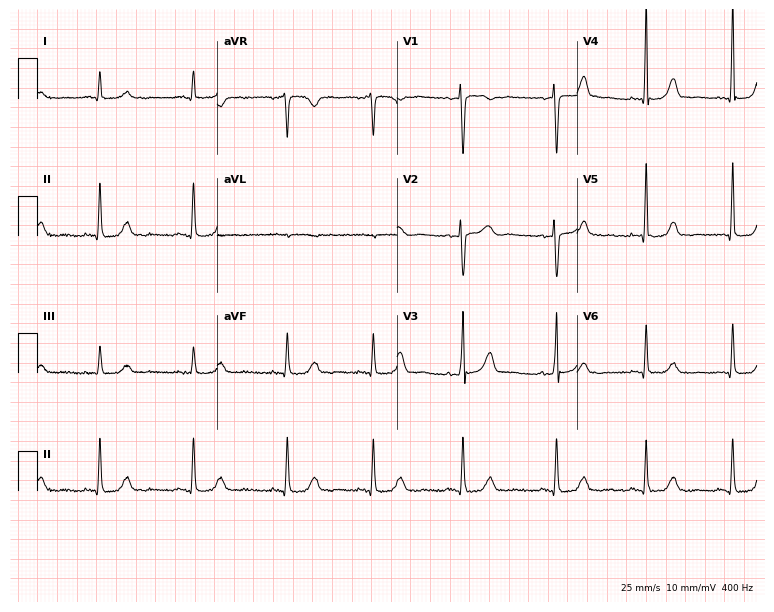
12-lead ECG from a 45-year-old female patient. Screened for six findings — first-degree AV block, right bundle branch block, left bundle branch block, sinus bradycardia, atrial fibrillation, sinus tachycardia — none is recorded.